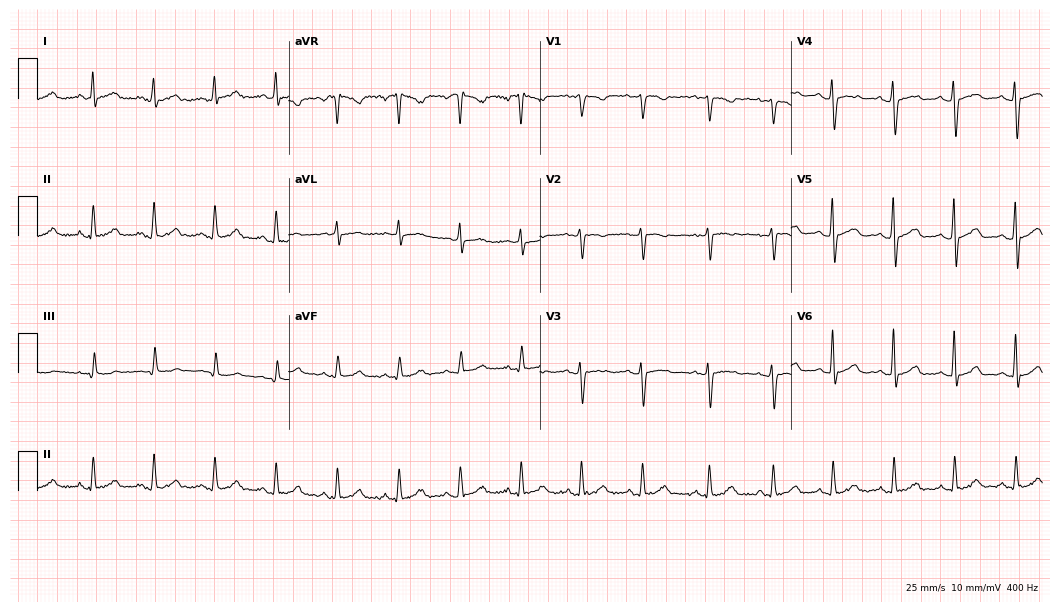
Electrocardiogram (10.2-second recording at 400 Hz), a female patient, 34 years old. Of the six screened findings (first-degree AV block, right bundle branch block, left bundle branch block, sinus bradycardia, atrial fibrillation, sinus tachycardia), none is recorded. Other findings, if any, are not listed.